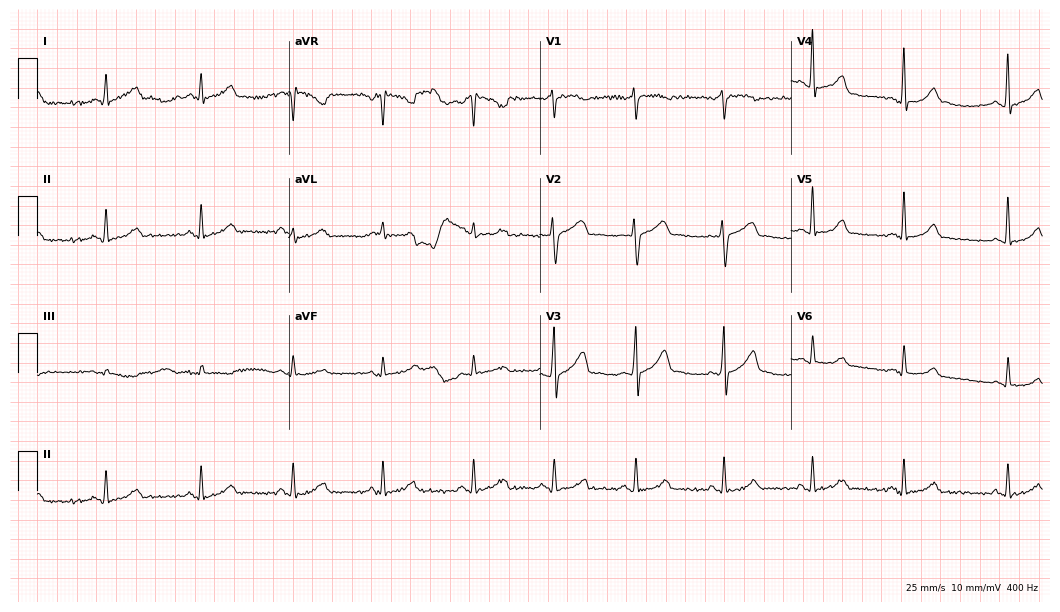
12-lead ECG from a man, 27 years old. Recorded interpretation: within normal limits.